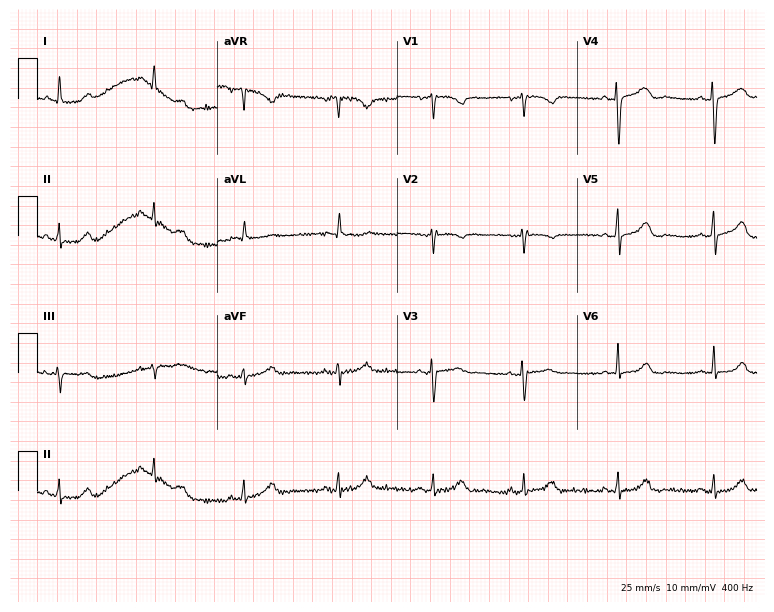
12-lead ECG (7.3-second recording at 400 Hz) from a female, 59 years old. Labelled as a normal ECG.